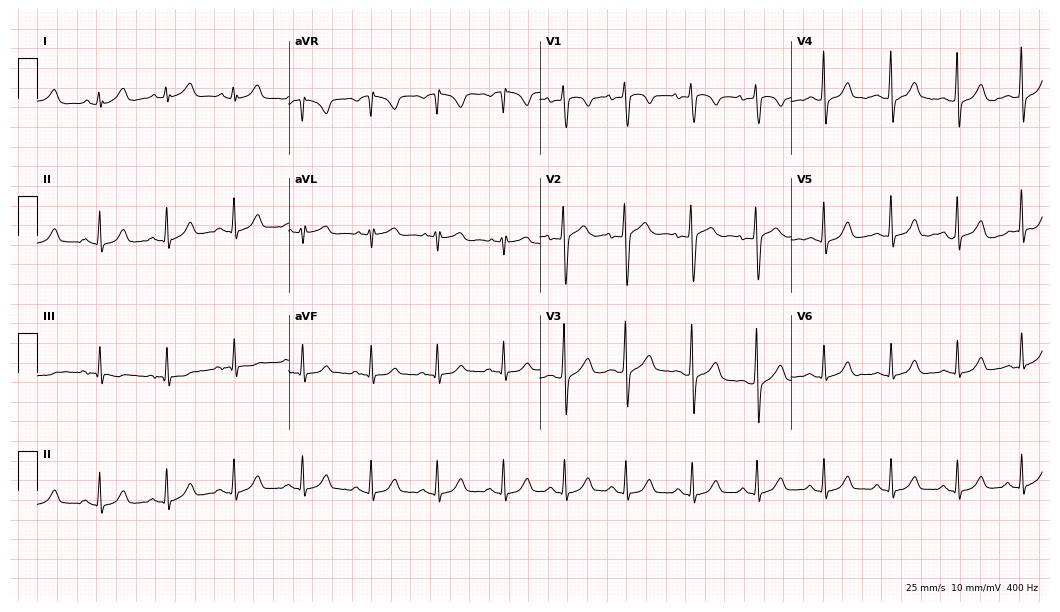
12-lead ECG from a female patient, 20 years old (10.2-second recording at 400 Hz). Recorded interpretation: within normal limits.